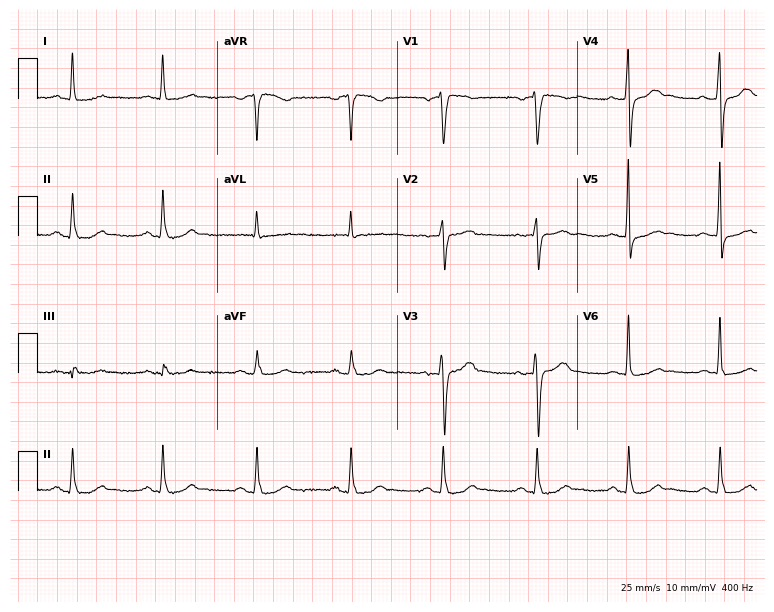
12-lead ECG from a male, 56 years old. Labelled as a normal ECG.